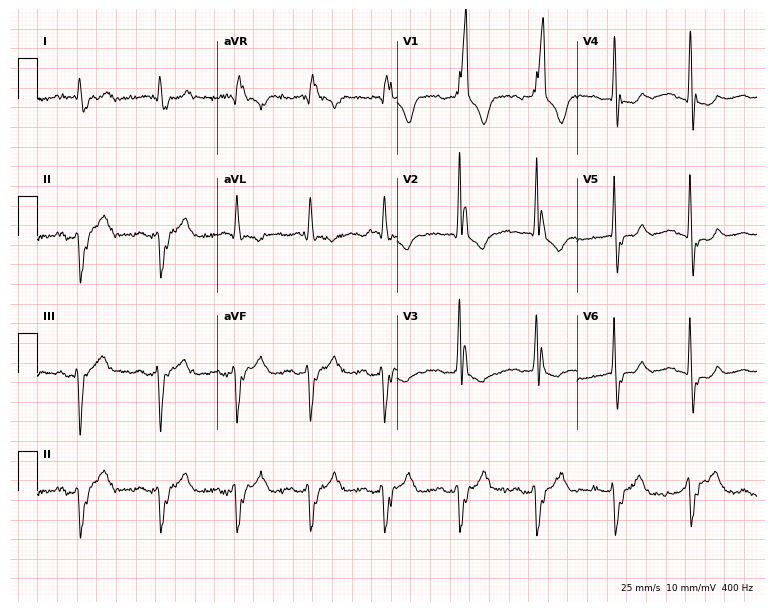
Standard 12-lead ECG recorded from a male patient, 89 years old (7.3-second recording at 400 Hz). The tracing shows right bundle branch block.